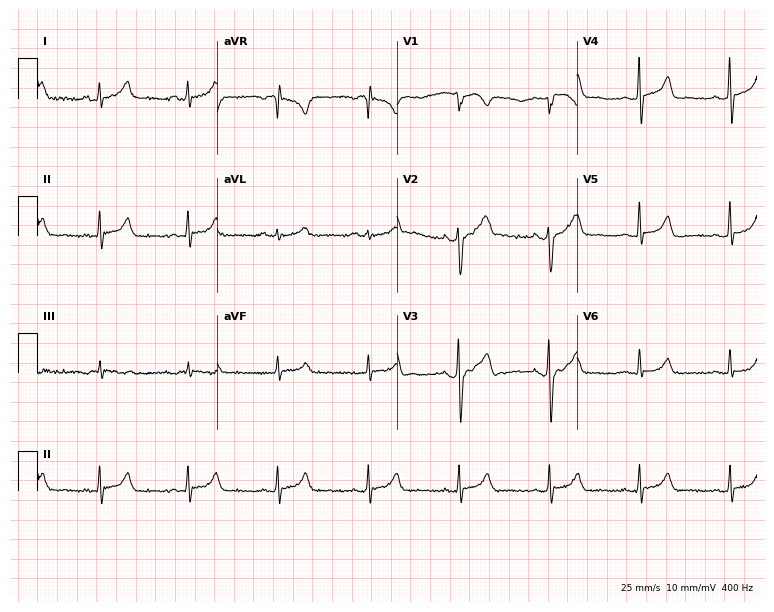
ECG — a 36-year-old man. Labelled as a normal ECG.